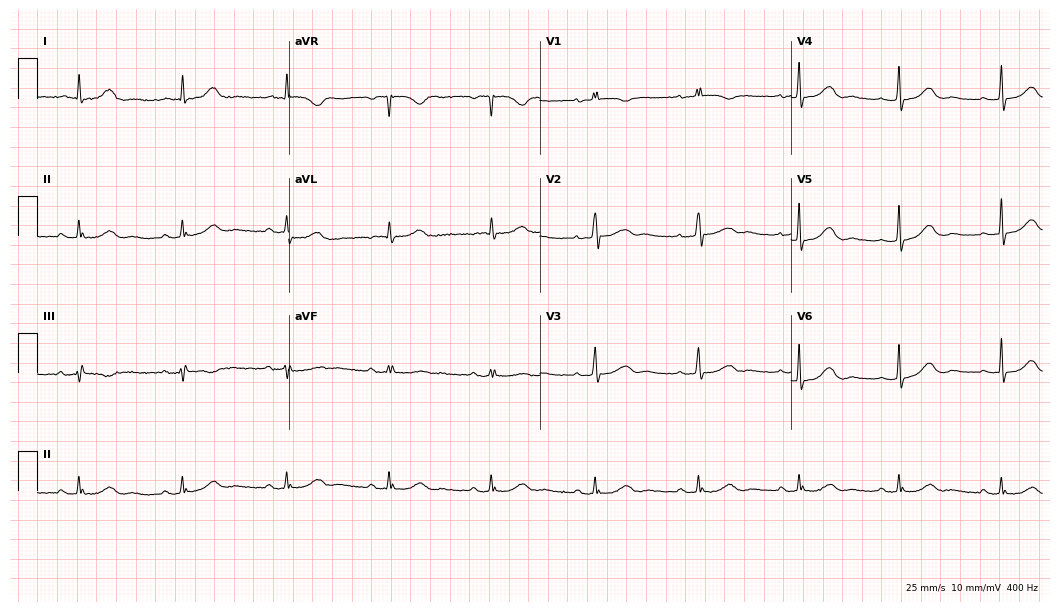
12-lead ECG from an 85-year-old female (10.2-second recording at 400 Hz). No first-degree AV block, right bundle branch block, left bundle branch block, sinus bradycardia, atrial fibrillation or sinus tachycardia recorded for this tracing. Only these six findings were labelled.